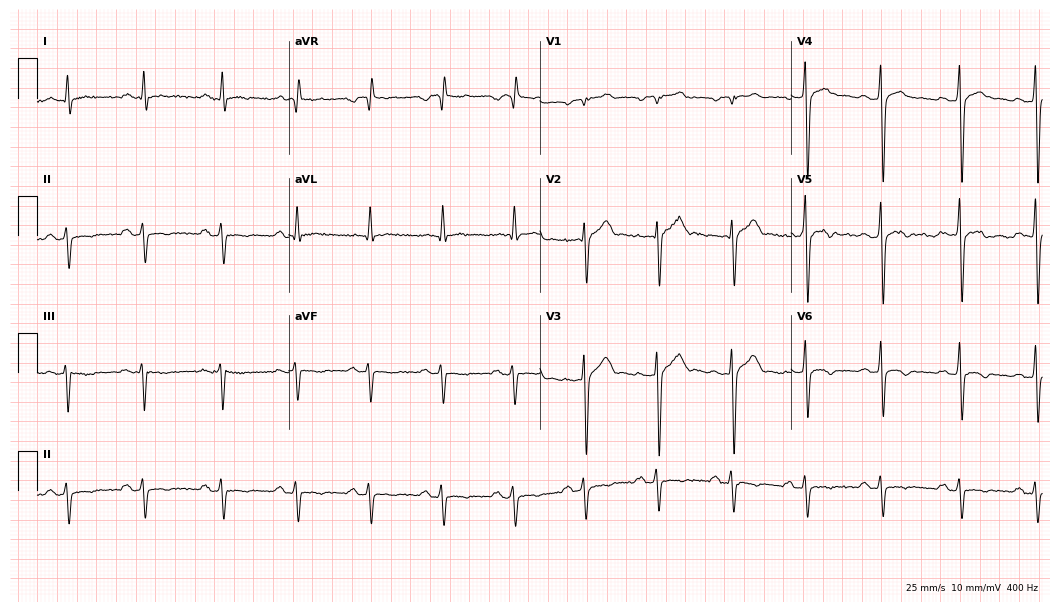
12-lead ECG from a 57-year-old man. No first-degree AV block, right bundle branch block, left bundle branch block, sinus bradycardia, atrial fibrillation or sinus tachycardia recorded for this tracing.